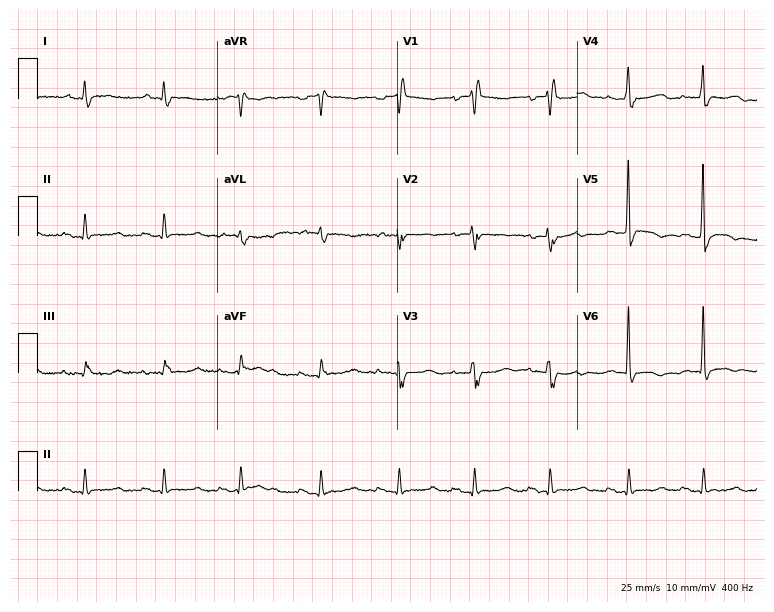
Electrocardiogram (7.3-second recording at 400 Hz), a 71-year-old female patient. Interpretation includes right bundle branch block.